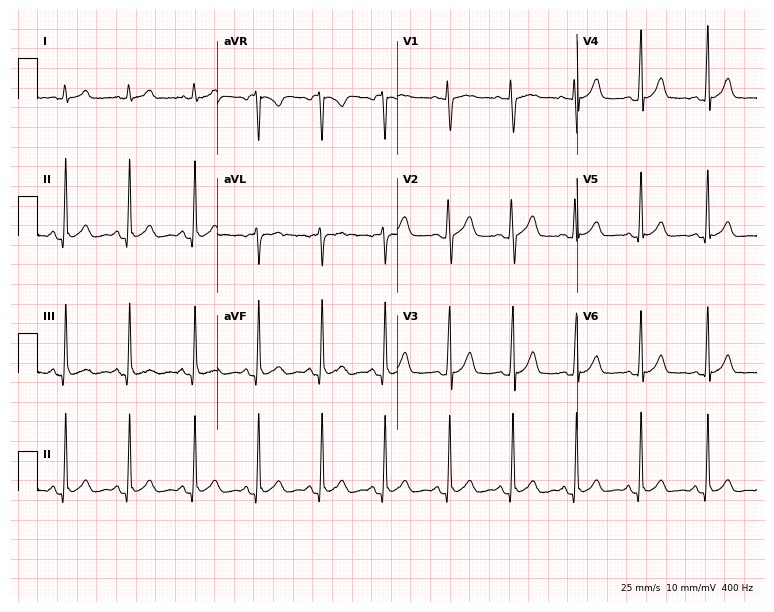
Electrocardiogram, a 17-year-old male. Overall reading on record: normal ECG.